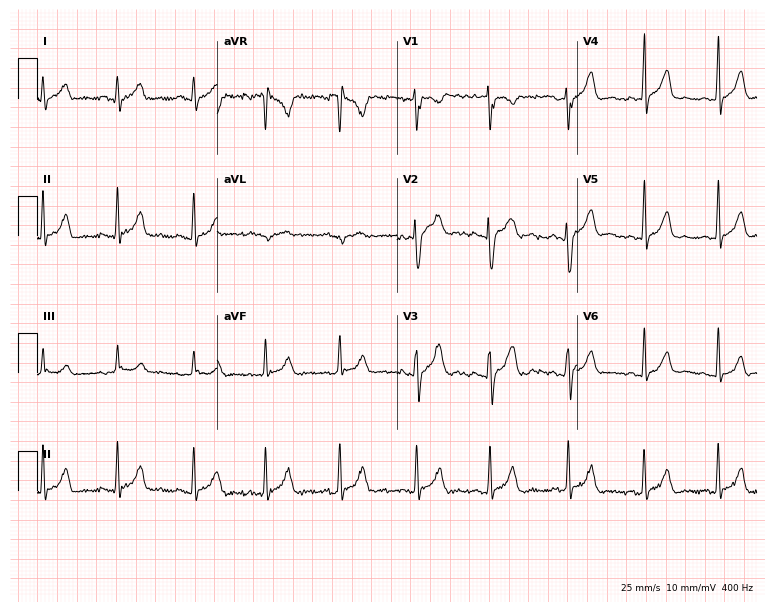
Electrocardiogram, an 18-year-old woman. Of the six screened findings (first-degree AV block, right bundle branch block, left bundle branch block, sinus bradycardia, atrial fibrillation, sinus tachycardia), none is recorded.